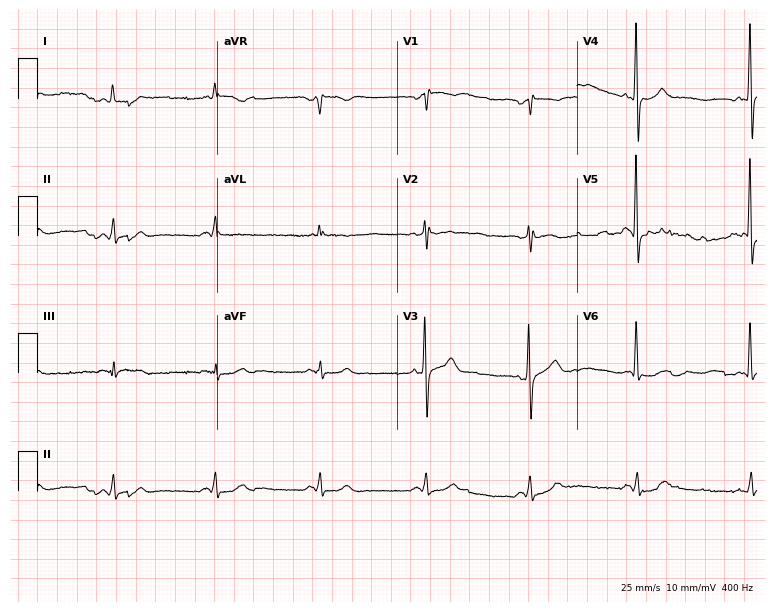
Standard 12-lead ECG recorded from an 80-year-old male patient (7.3-second recording at 400 Hz). None of these six findings is recorded: first-degree AV block, right bundle branch block (RBBB), left bundle branch block (LBBB), sinus bradycardia, atrial fibrillation (AF), sinus tachycardia. Only these six findings were labelled.